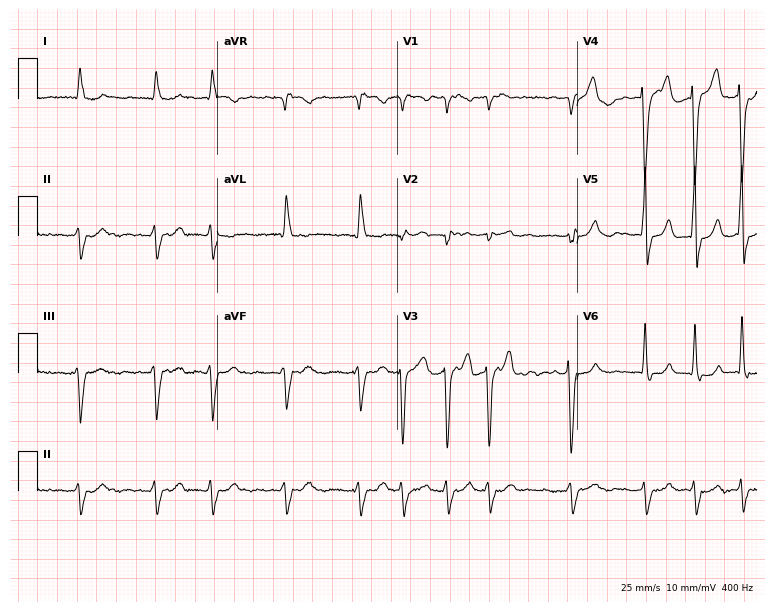
Standard 12-lead ECG recorded from an 87-year-old male patient. The tracing shows atrial fibrillation (AF).